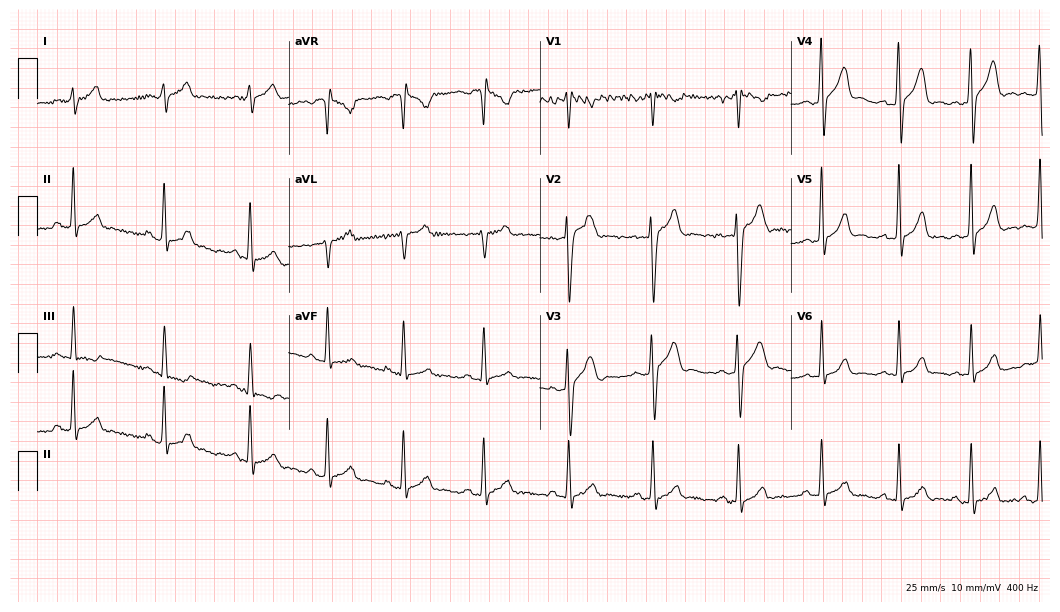
ECG — a 26-year-old man. Labelled as a normal ECG.